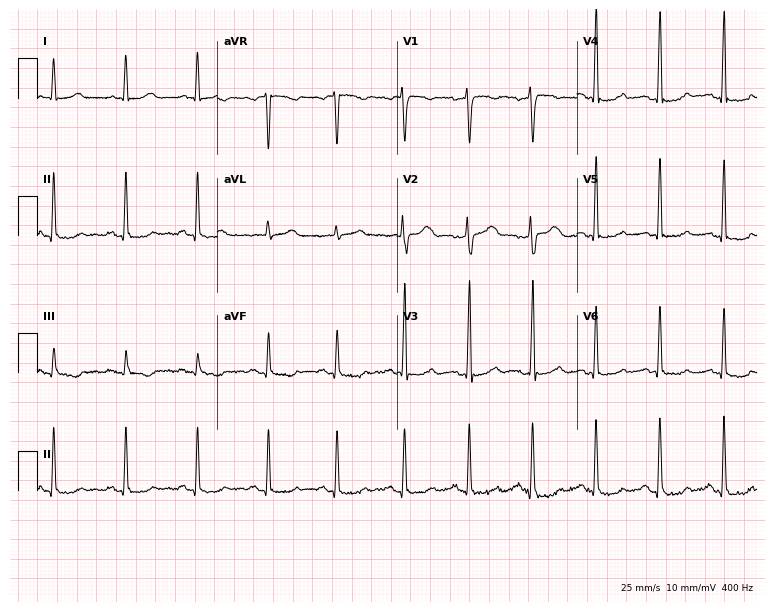
Standard 12-lead ECG recorded from a 31-year-old female patient. None of these six findings is recorded: first-degree AV block, right bundle branch block, left bundle branch block, sinus bradycardia, atrial fibrillation, sinus tachycardia. Only these six findings were labelled.